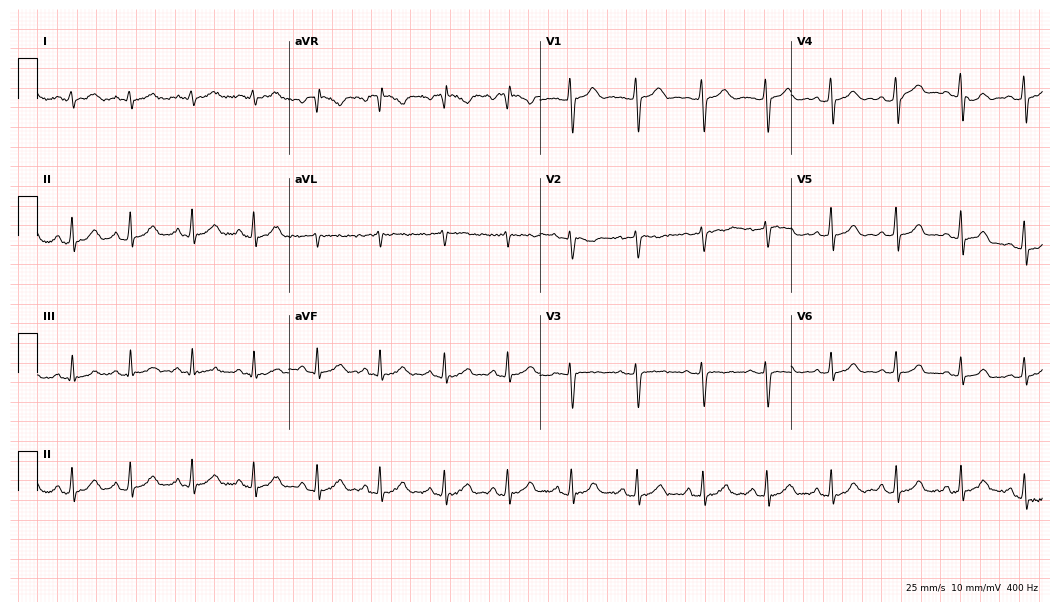
ECG — a woman, 18 years old. Labelled as a normal ECG.